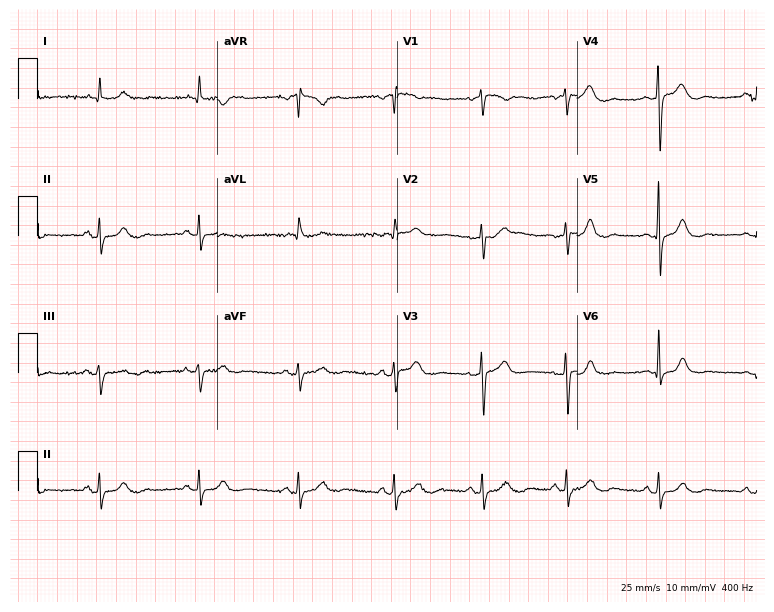
12-lead ECG from a male, 67 years old (7.3-second recording at 400 Hz). No first-degree AV block, right bundle branch block, left bundle branch block, sinus bradycardia, atrial fibrillation or sinus tachycardia recorded for this tracing.